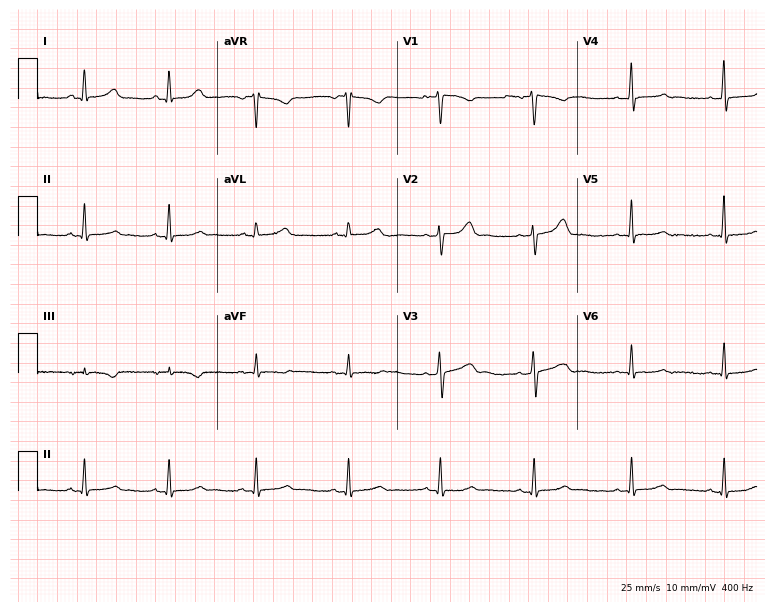
12-lead ECG from a 49-year-old woman. Labelled as a normal ECG.